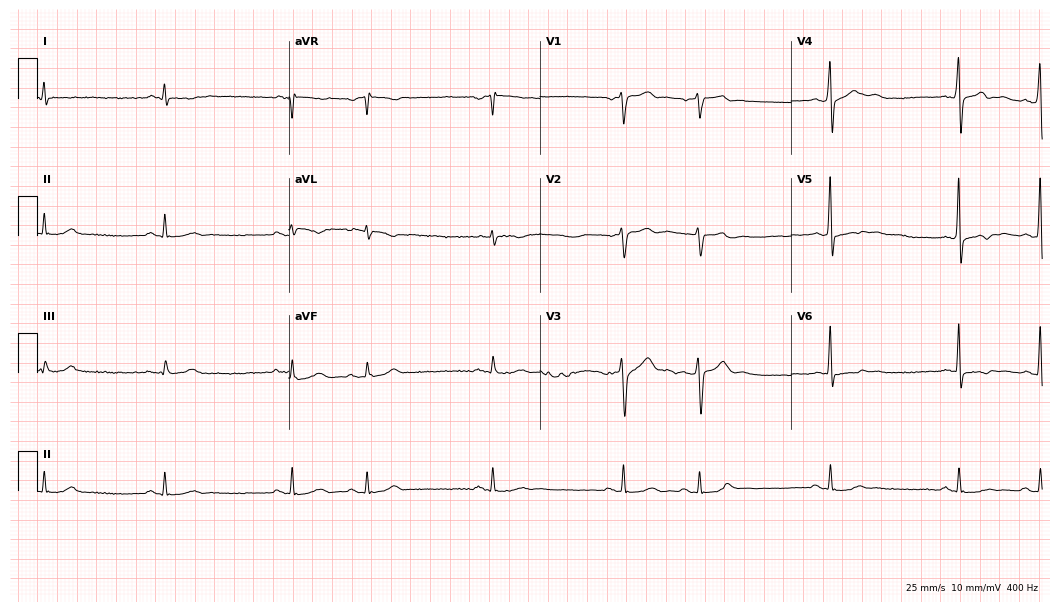
ECG (10.2-second recording at 400 Hz) — a 69-year-old male patient. Screened for six findings — first-degree AV block, right bundle branch block, left bundle branch block, sinus bradycardia, atrial fibrillation, sinus tachycardia — none is recorded.